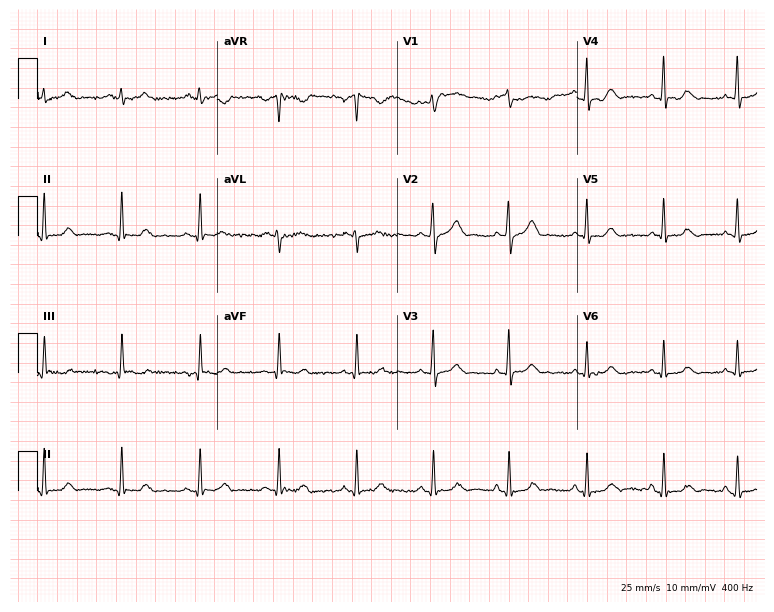
Resting 12-lead electrocardiogram (7.3-second recording at 400 Hz). Patient: a 37-year-old female. Read as a normal ECG.